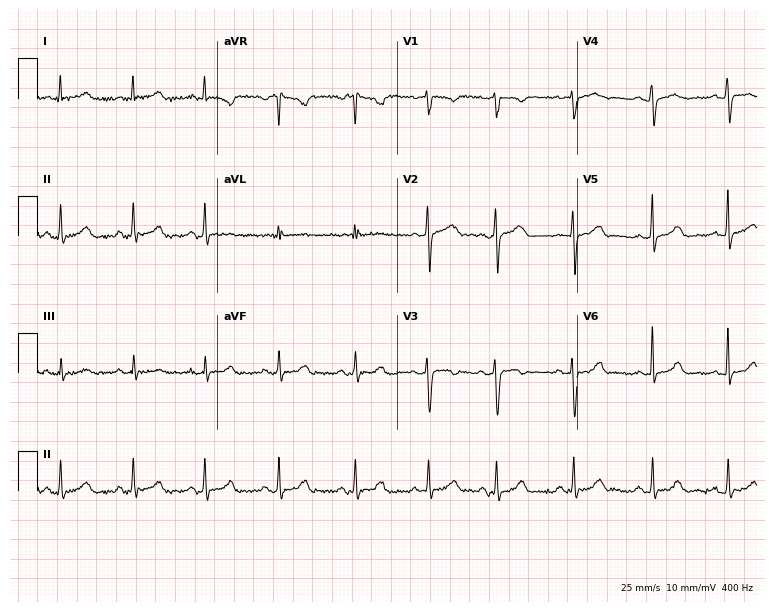
Resting 12-lead electrocardiogram. Patient: a 34-year-old female. Read as a normal ECG.